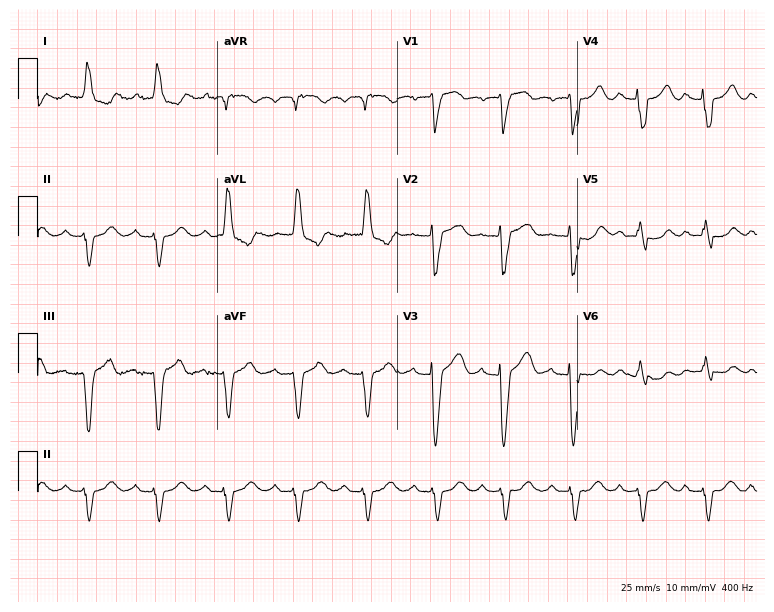
12-lead ECG from a female patient, 83 years old. Findings include left bundle branch block.